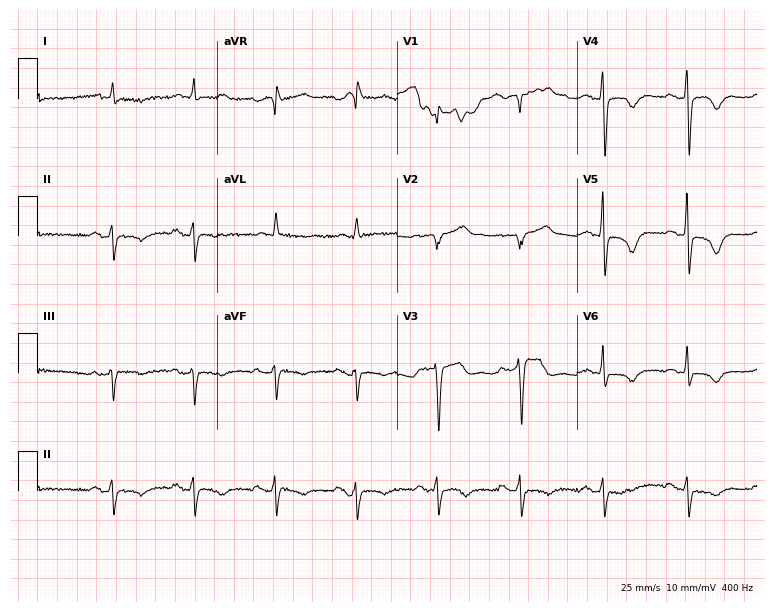
12-lead ECG (7.3-second recording at 400 Hz) from a man, 77 years old. Screened for six findings — first-degree AV block, right bundle branch block (RBBB), left bundle branch block (LBBB), sinus bradycardia, atrial fibrillation (AF), sinus tachycardia — none is recorded.